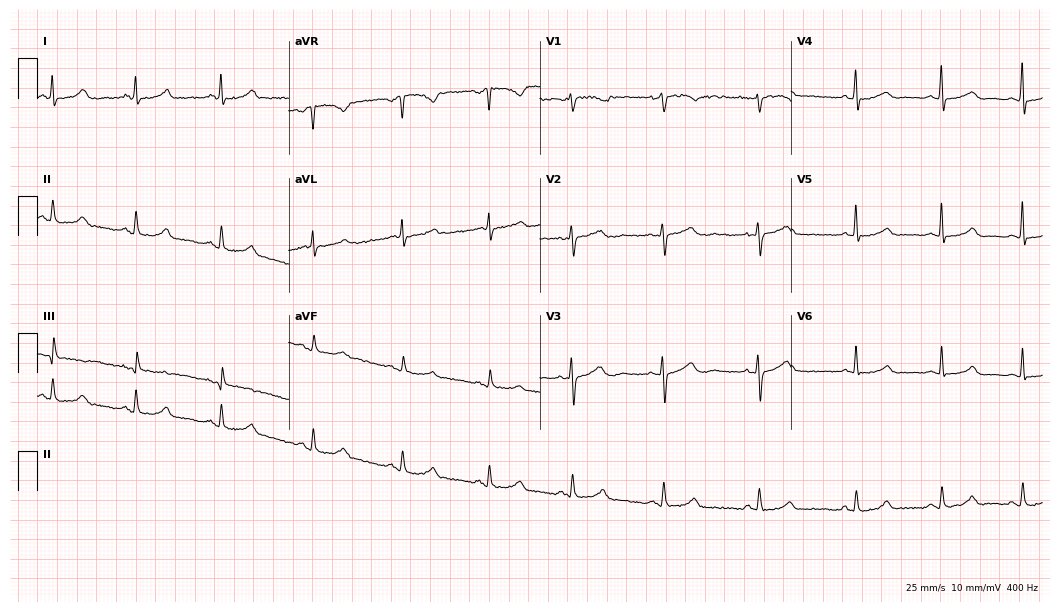
ECG — a 37-year-old female patient. Screened for six findings — first-degree AV block, right bundle branch block (RBBB), left bundle branch block (LBBB), sinus bradycardia, atrial fibrillation (AF), sinus tachycardia — none is recorded.